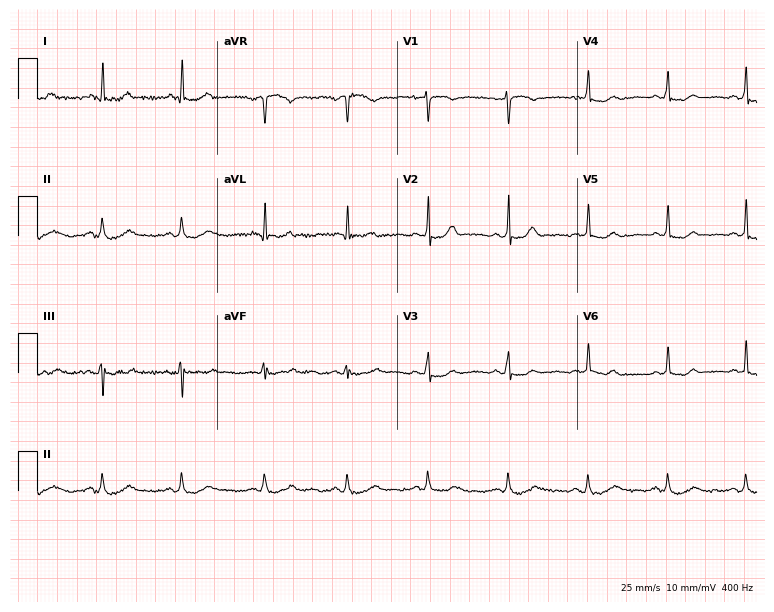
Resting 12-lead electrocardiogram. Patient: a 51-year-old female. Read as a normal ECG.